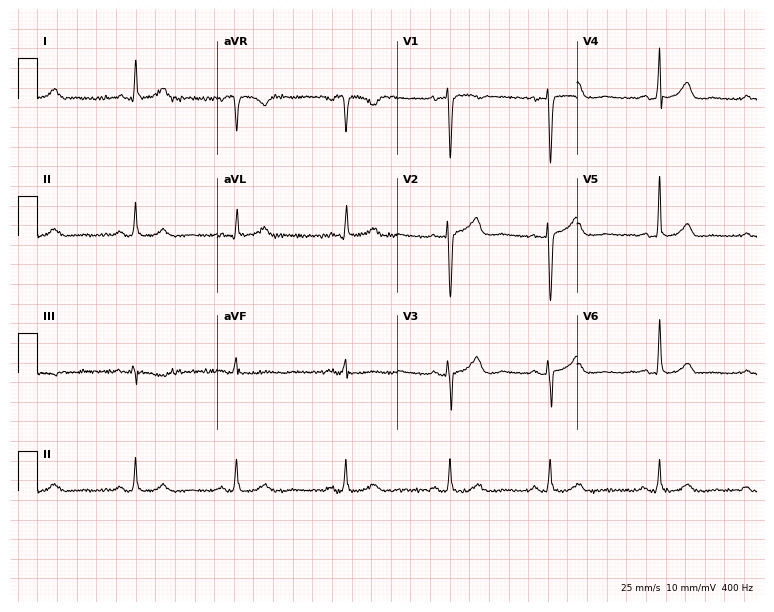
12-lead ECG from a 52-year-old woman. Recorded interpretation: within normal limits.